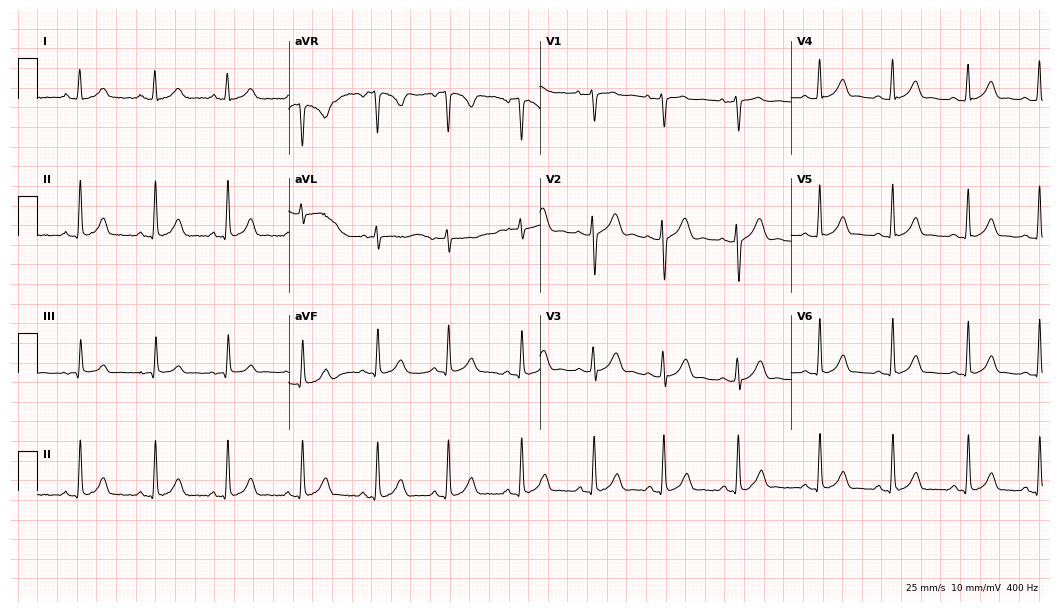
ECG — a 21-year-old woman. Labelled as a normal ECG.